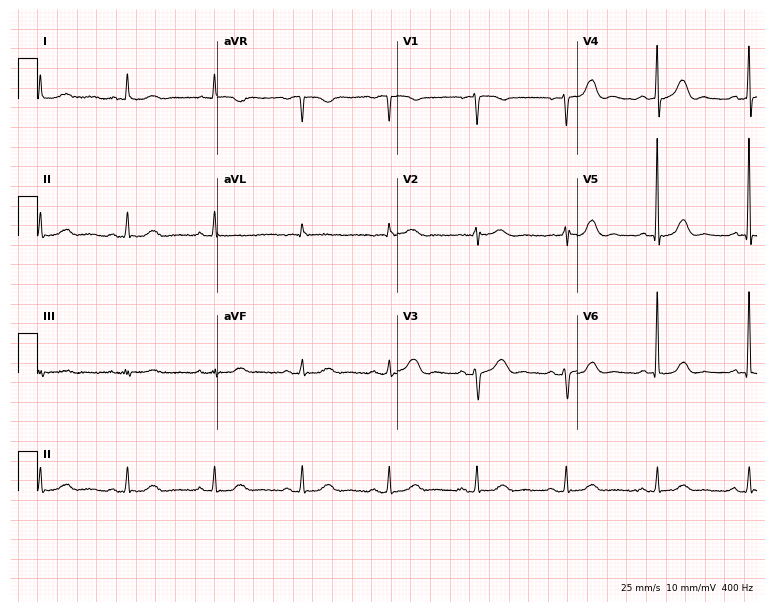
12-lead ECG from a female, 82 years old (7.3-second recording at 400 Hz). Recorded interpretation: within normal limits.